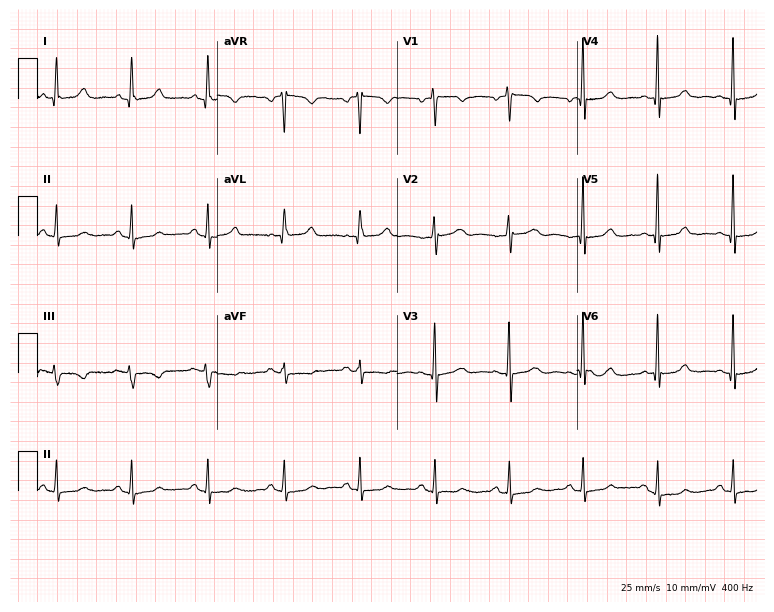
ECG — a 57-year-old woman. Labelled as a normal ECG.